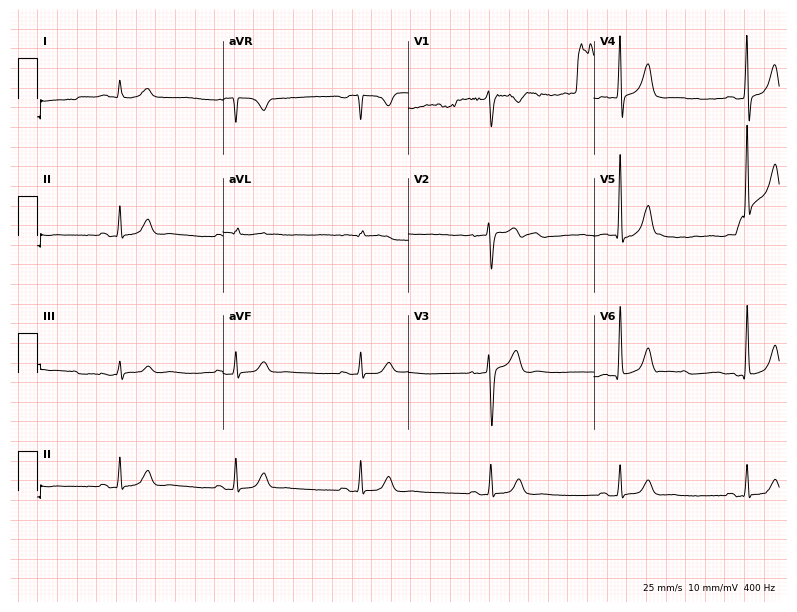
Standard 12-lead ECG recorded from a man, 62 years old (7.6-second recording at 400 Hz). None of these six findings is recorded: first-degree AV block, right bundle branch block, left bundle branch block, sinus bradycardia, atrial fibrillation, sinus tachycardia. Only these six findings were labelled.